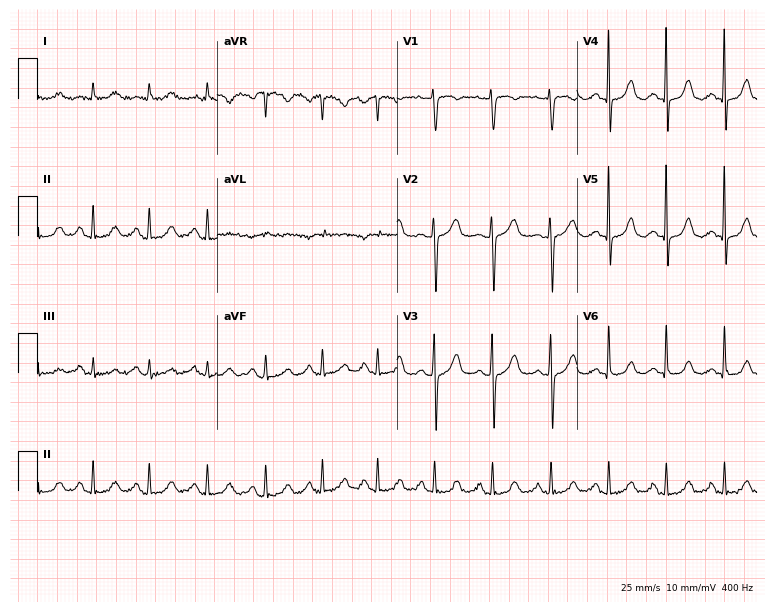
ECG (7.3-second recording at 400 Hz) — a 52-year-old female patient. Screened for six findings — first-degree AV block, right bundle branch block (RBBB), left bundle branch block (LBBB), sinus bradycardia, atrial fibrillation (AF), sinus tachycardia — none is recorded. Findings outside these six are not listed.